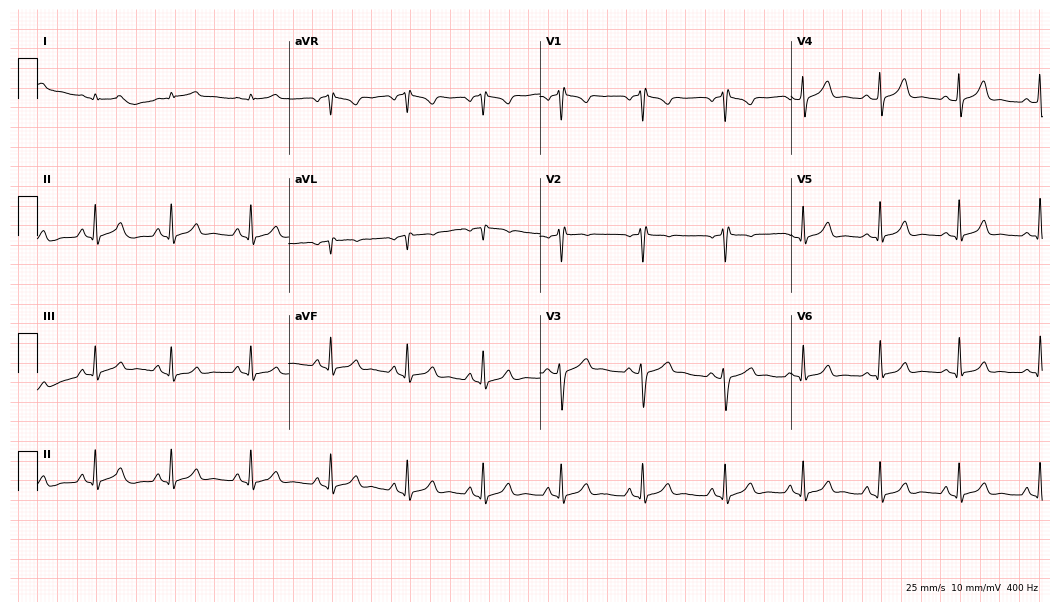
12-lead ECG from a 22-year-old female. Screened for six findings — first-degree AV block, right bundle branch block, left bundle branch block, sinus bradycardia, atrial fibrillation, sinus tachycardia — none is recorded.